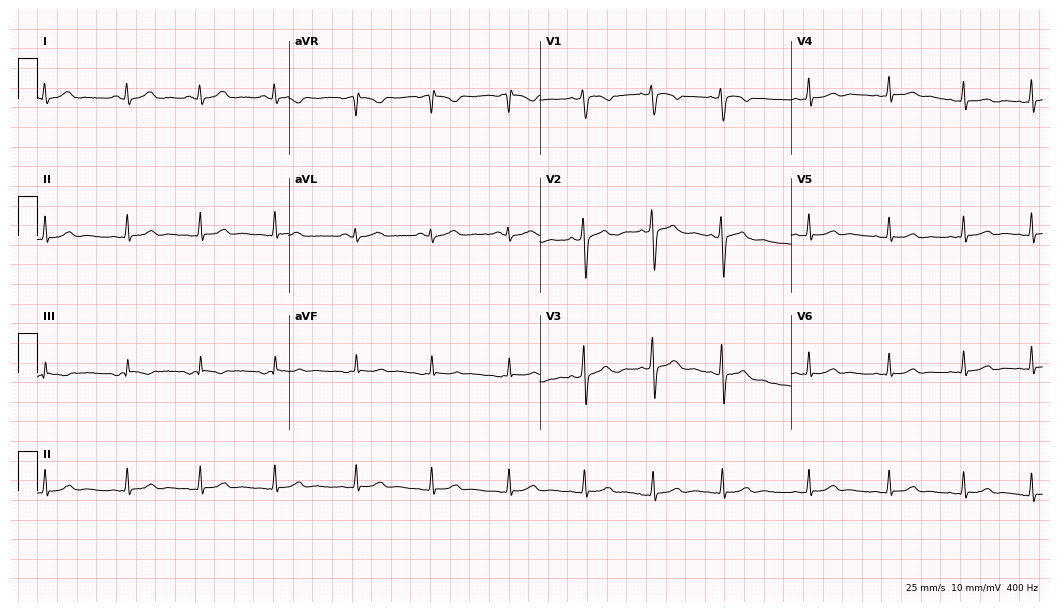
Electrocardiogram (10.2-second recording at 400 Hz), a 27-year-old female. Of the six screened findings (first-degree AV block, right bundle branch block, left bundle branch block, sinus bradycardia, atrial fibrillation, sinus tachycardia), none is recorded.